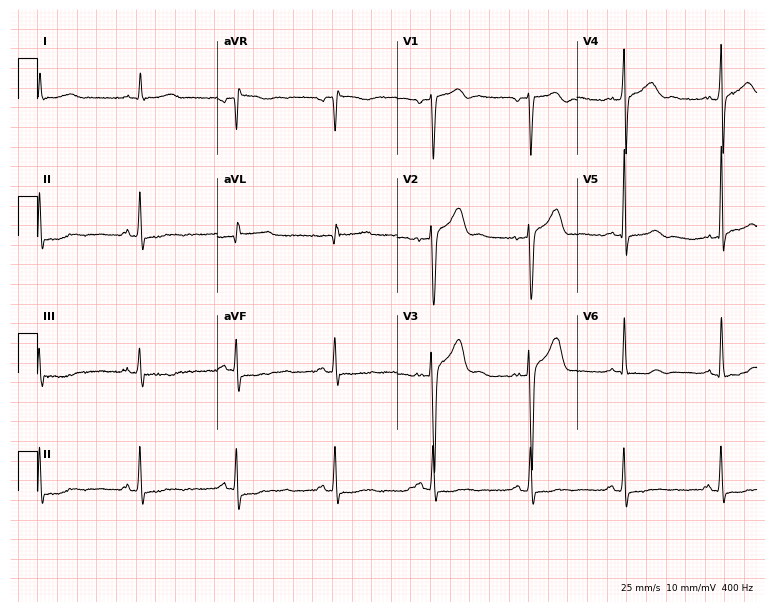
12-lead ECG (7.3-second recording at 400 Hz) from a 55-year-old male patient. Labelled as a normal ECG.